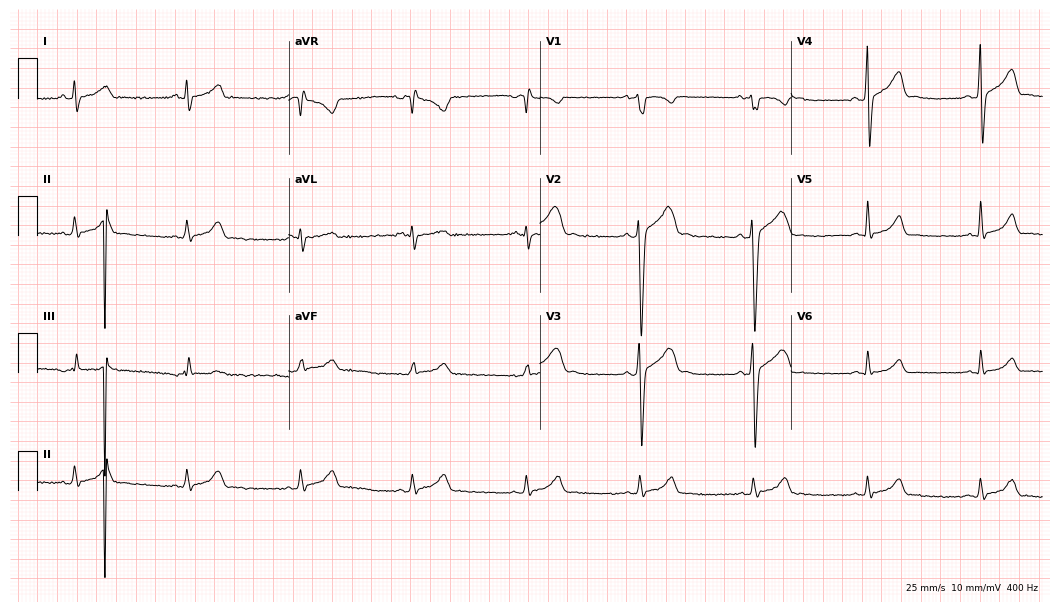
Resting 12-lead electrocardiogram. Patient: a 25-year-old male. Read as a normal ECG.